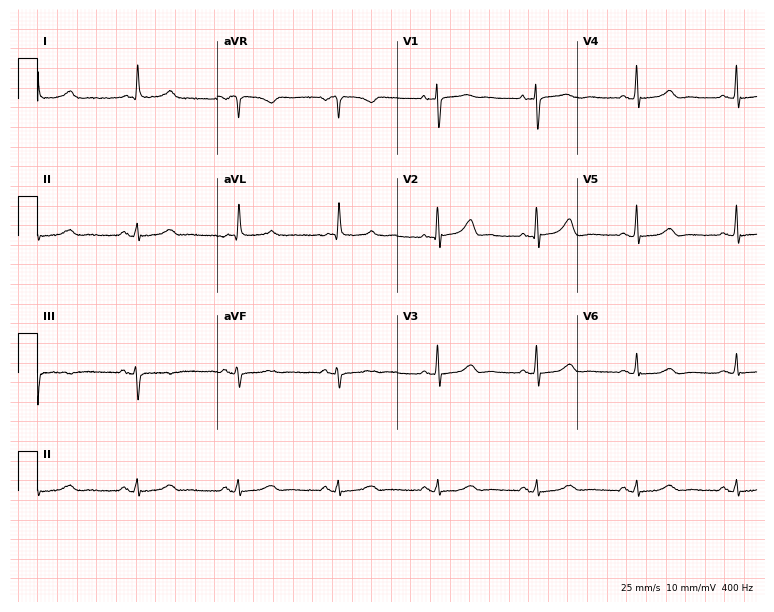
Standard 12-lead ECG recorded from a female patient, 76 years old (7.3-second recording at 400 Hz). Read as a normal ECG.